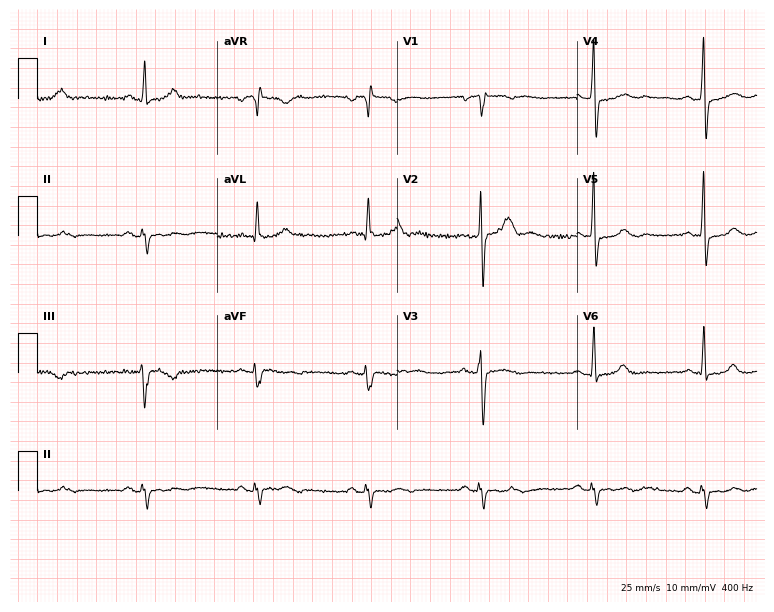
Resting 12-lead electrocardiogram (7.3-second recording at 400 Hz). Patient: a male, 55 years old. None of these six findings is recorded: first-degree AV block, right bundle branch block, left bundle branch block, sinus bradycardia, atrial fibrillation, sinus tachycardia. Only these six findings were labelled.